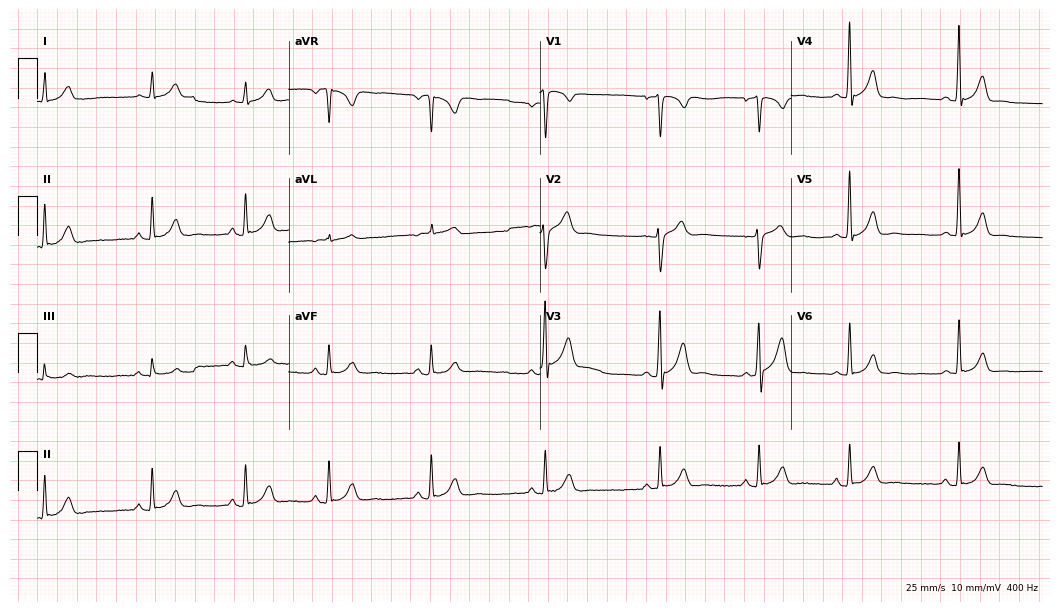
12-lead ECG (10.2-second recording at 400 Hz) from a 24-year-old male patient. Labelled as a normal ECG.